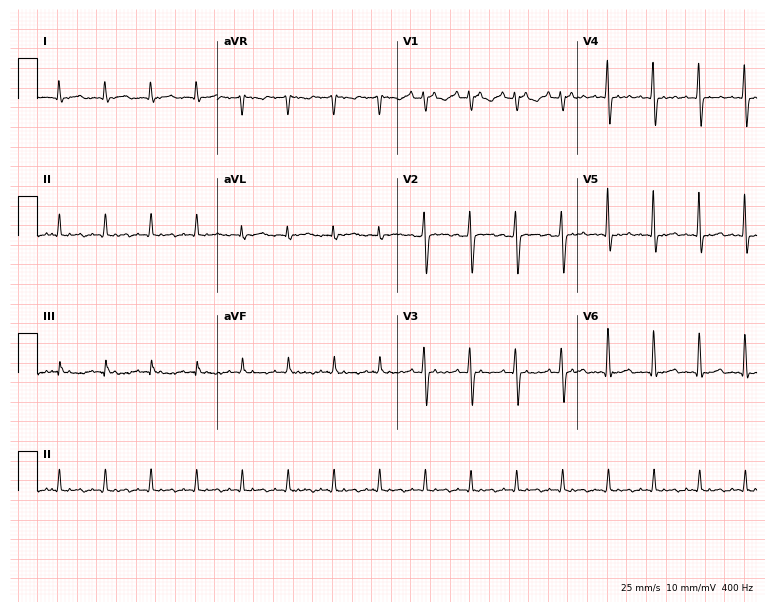
Electrocardiogram, a male, 84 years old. Of the six screened findings (first-degree AV block, right bundle branch block (RBBB), left bundle branch block (LBBB), sinus bradycardia, atrial fibrillation (AF), sinus tachycardia), none is recorded. Other findings, if any, are not listed.